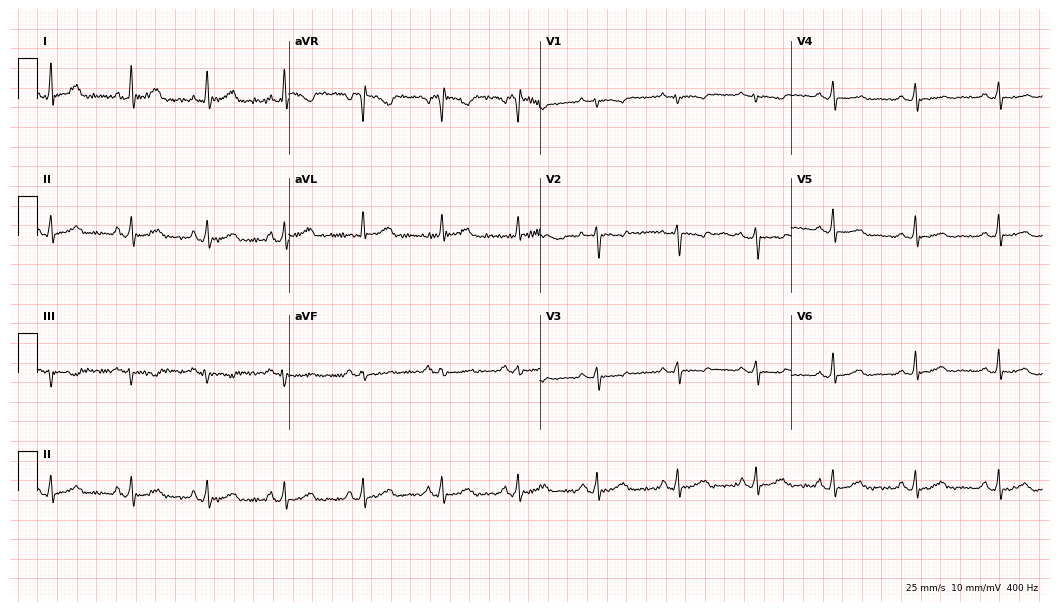
12-lead ECG from a 55-year-old female (10.2-second recording at 400 Hz). No first-degree AV block, right bundle branch block (RBBB), left bundle branch block (LBBB), sinus bradycardia, atrial fibrillation (AF) or sinus tachycardia recorded for this tracing. Only these six findings were labelled.